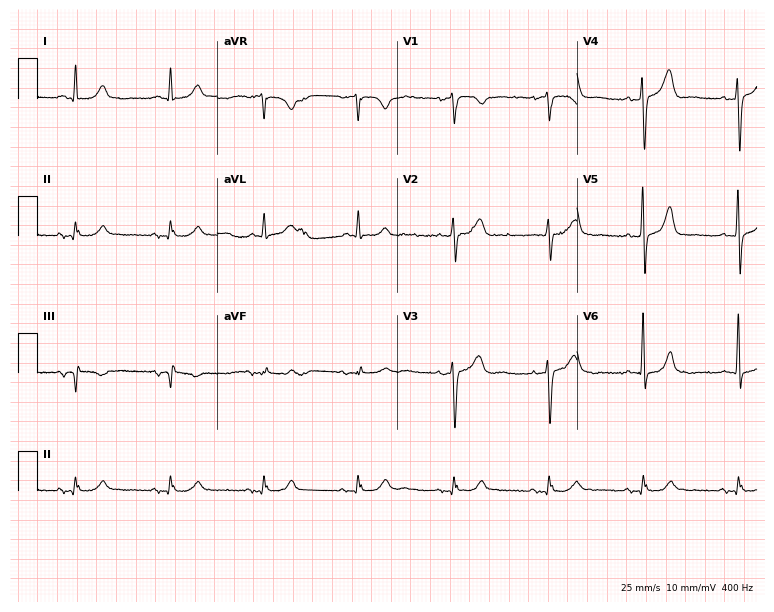
Electrocardiogram, a 59-year-old man. Of the six screened findings (first-degree AV block, right bundle branch block, left bundle branch block, sinus bradycardia, atrial fibrillation, sinus tachycardia), none is recorded. Only these six findings were labelled.